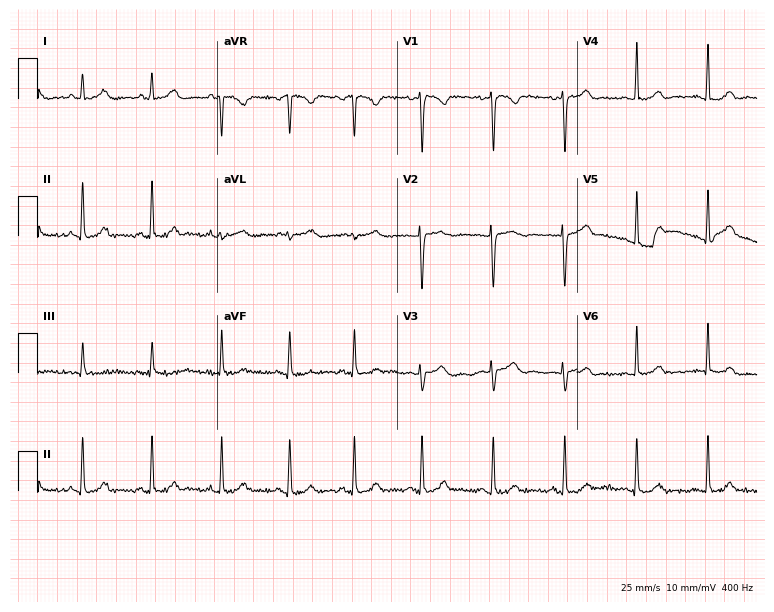
12-lead ECG from a female patient, 17 years old. No first-degree AV block, right bundle branch block (RBBB), left bundle branch block (LBBB), sinus bradycardia, atrial fibrillation (AF) or sinus tachycardia recorded for this tracing. Only these six findings were labelled.